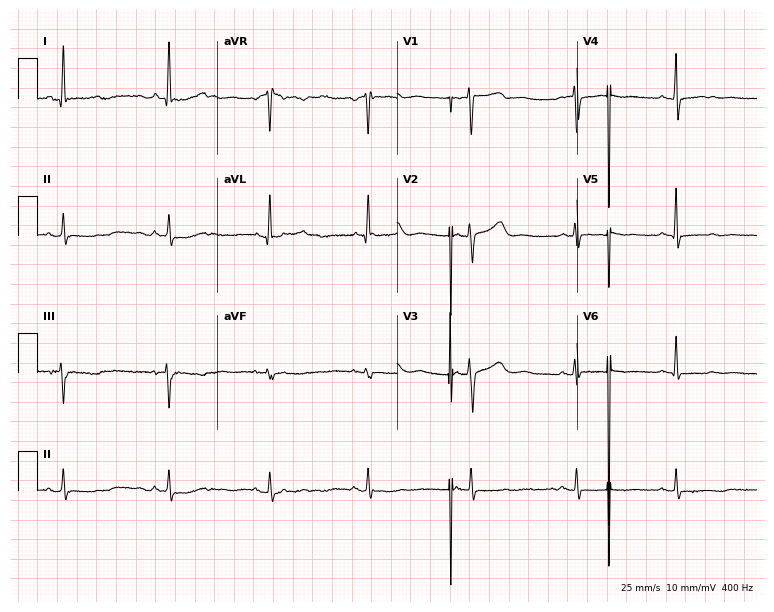
Resting 12-lead electrocardiogram. Patient: a female, 59 years old. None of these six findings is recorded: first-degree AV block, right bundle branch block (RBBB), left bundle branch block (LBBB), sinus bradycardia, atrial fibrillation (AF), sinus tachycardia. Other findings, if any, are not listed.